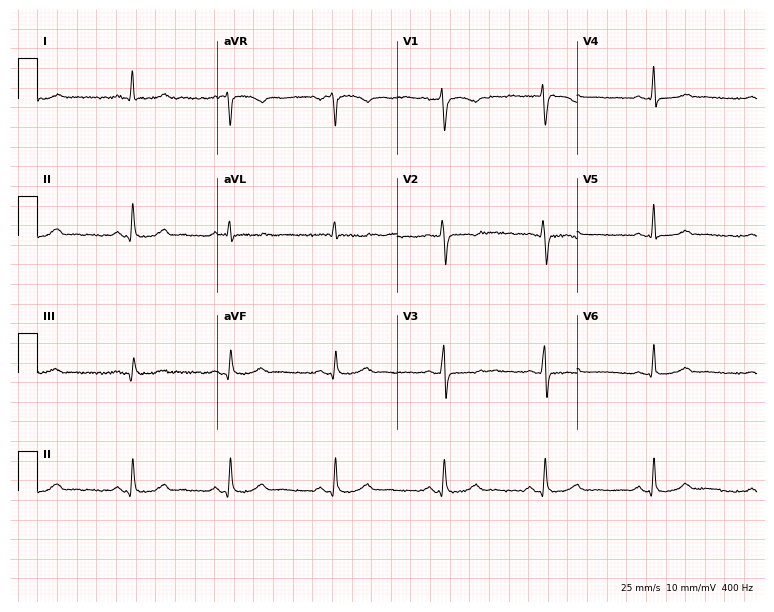
Electrocardiogram, a woman, 56 years old. Of the six screened findings (first-degree AV block, right bundle branch block, left bundle branch block, sinus bradycardia, atrial fibrillation, sinus tachycardia), none is recorded. Findings outside these six are not listed.